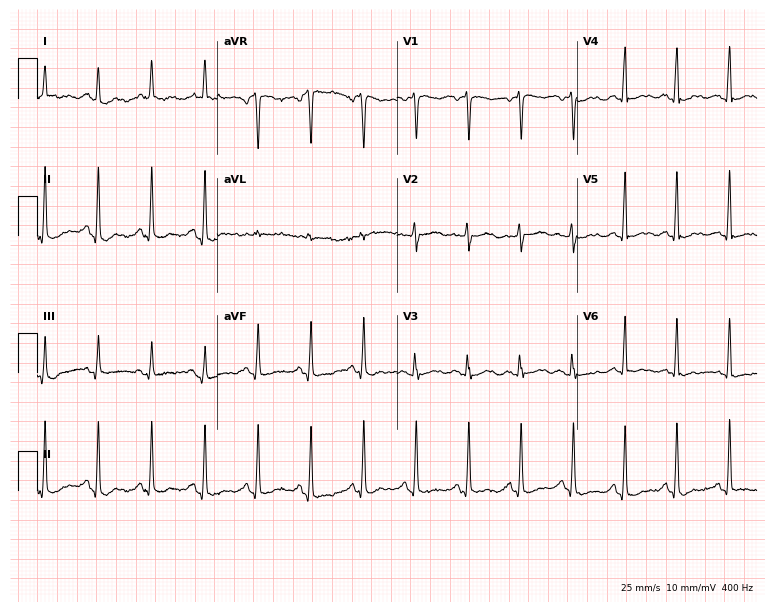
12-lead ECG from a 63-year-old female (7.3-second recording at 400 Hz). No first-degree AV block, right bundle branch block, left bundle branch block, sinus bradycardia, atrial fibrillation or sinus tachycardia recorded for this tracing. Other findings, if any, are not listed.